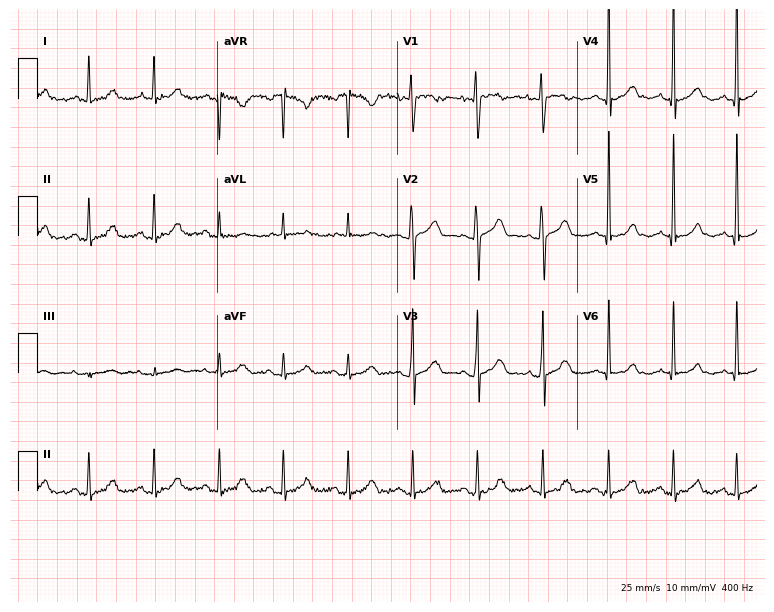
Electrocardiogram, a female, 36 years old. Overall reading on record: normal ECG.